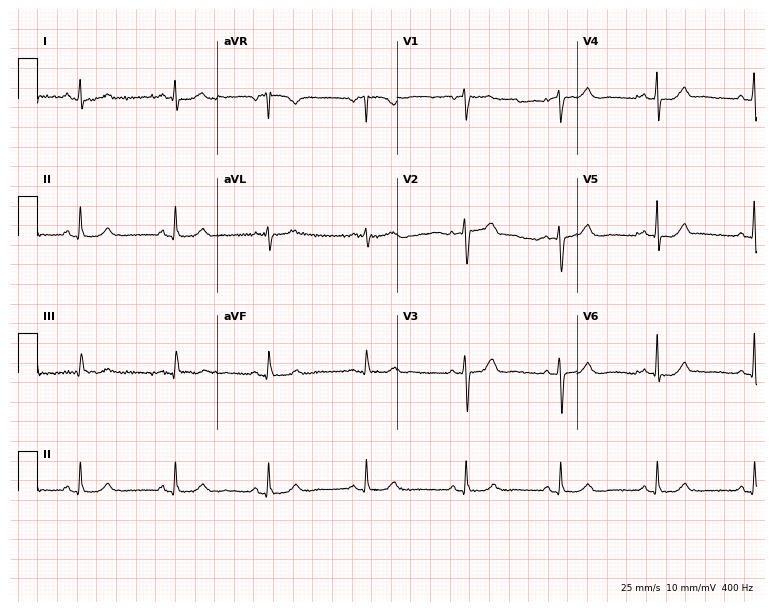
12-lead ECG from a 53-year-old woman. Recorded interpretation: within normal limits.